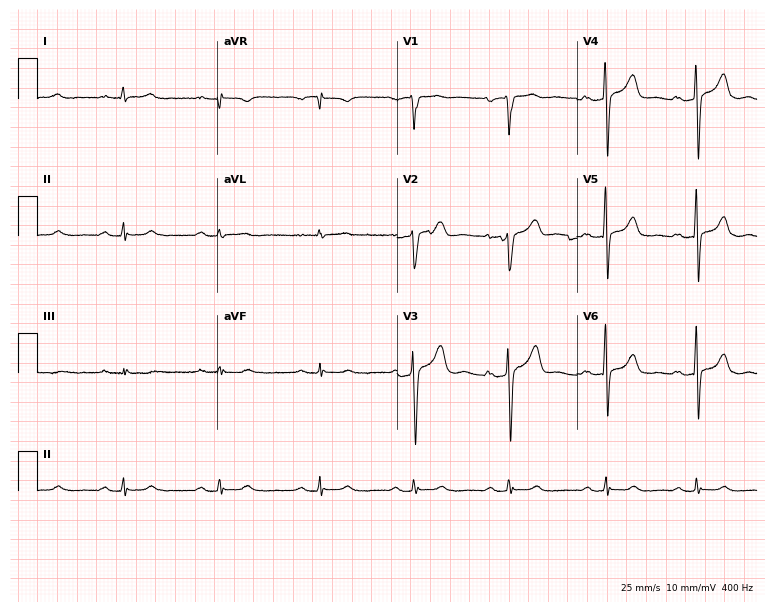
12-lead ECG from a male patient, 70 years old. Screened for six findings — first-degree AV block, right bundle branch block, left bundle branch block, sinus bradycardia, atrial fibrillation, sinus tachycardia — none is recorded. Findings outside these six are not listed.